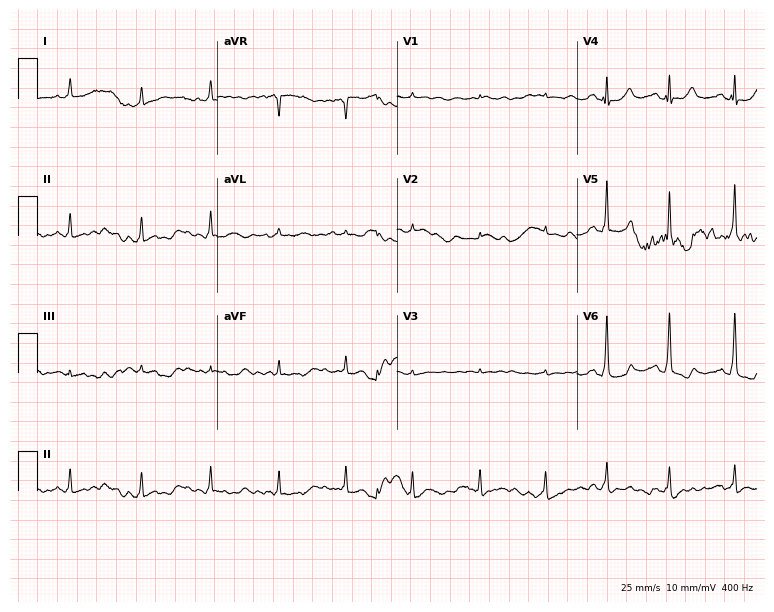
Resting 12-lead electrocardiogram. Patient: a woman, 56 years old. None of these six findings is recorded: first-degree AV block, right bundle branch block, left bundle branch block, sinus bradycardia, atrial fibrillation, sinus tachycardia.